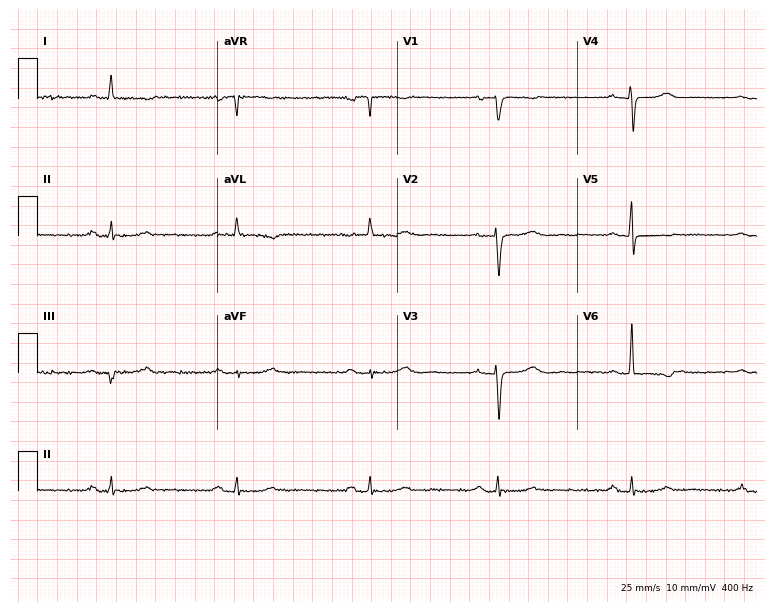
Resting 12-lead electrocardiogram. Patient: a woman, 66 years old. The tracing shows first-degree AV block, sinus bradycardia (a sinus rate of 50 beats per minute or less).